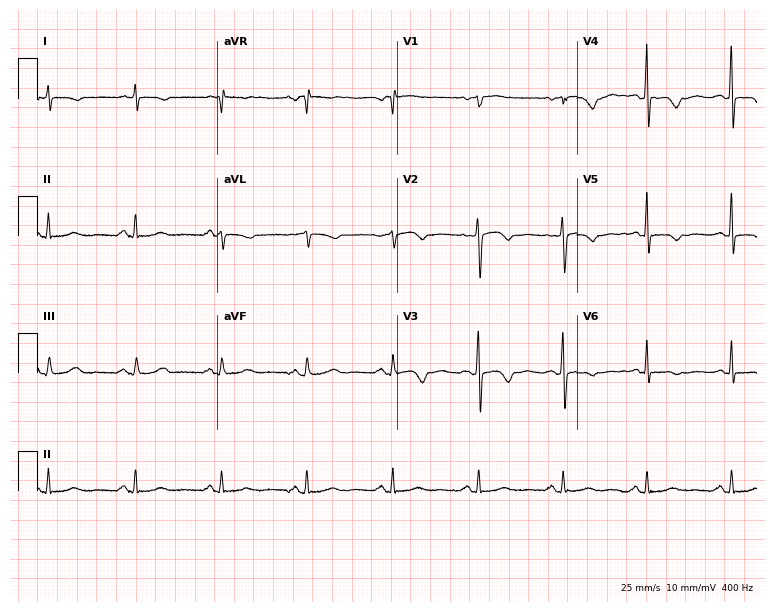
Standard 12-lead ECG recorded from a woman, 58 years old. None of these six findings is recorded: first-degree AV block, right bundle branch block (RBBB), left bundle branch block (LBBB), sinus bradycardia, atrial fibrillation (AF), sinus tachycardia. Findings outside these six are not listed.